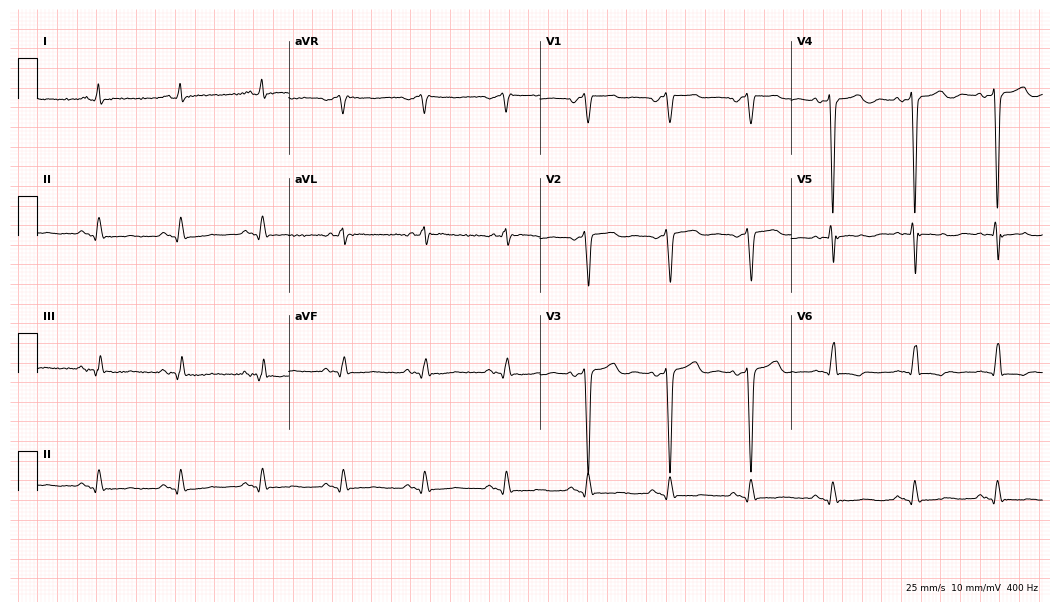
Resting 12-lead electrocardiogram (10.2-second recording at 400 Hz). Patient: a male, 70 years old. None of these six findings is recorded: first-degree AV block, right bundle branch block, left bundle branch block, sinus bradycardia, atrial fibrillation, sinus tachycardia. Only these six findings were labelled.